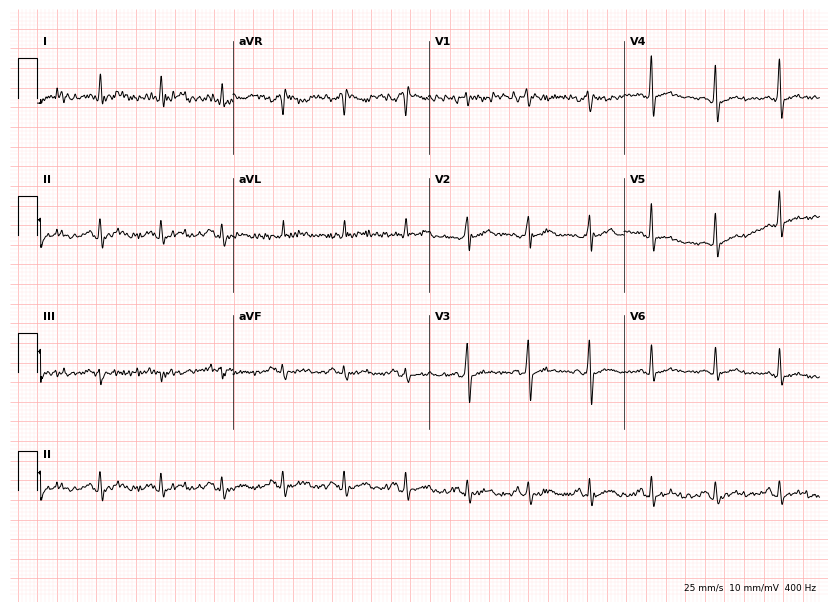
Electrocardiogram, a 41-year-old man. Of the six screened findings (first-degree AV block, right bundle branch block (RBBB), left bundle branch block (LBBB), sinus bradycardia, atrial fibrillation (AF), sinus tachycardia), none is recorded.